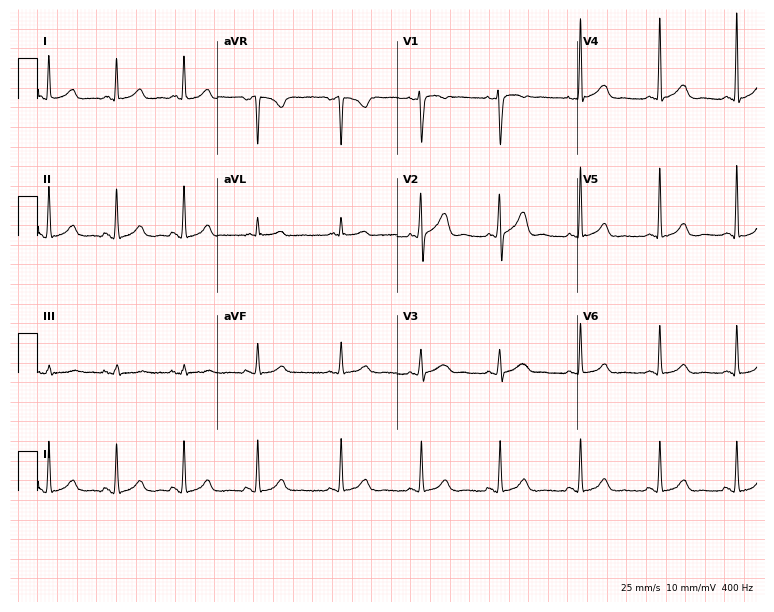
Standard 12-lead ECG recorded from a woman, 31 years old. Read as a normal ECG.